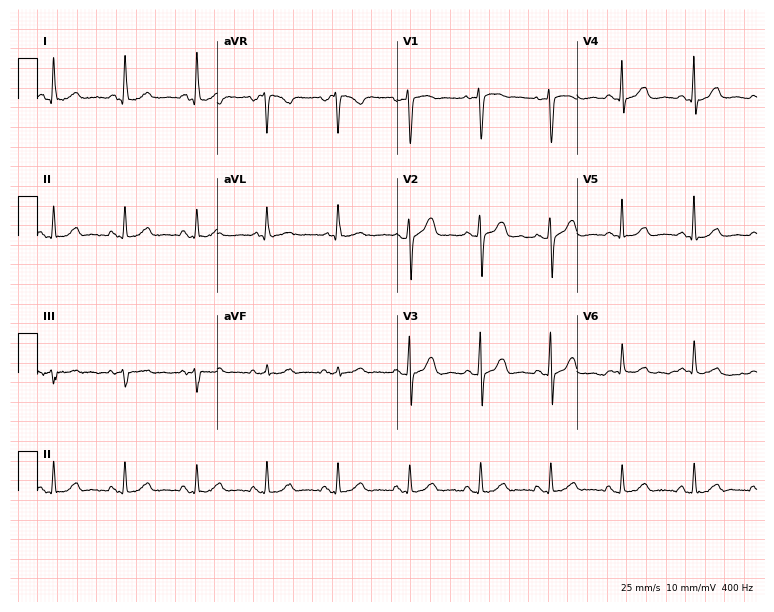
Standard 12-lead ECG recorded from a 49-year-old female (7.3-second recording at 400 Hz). Read as a normal ECG.